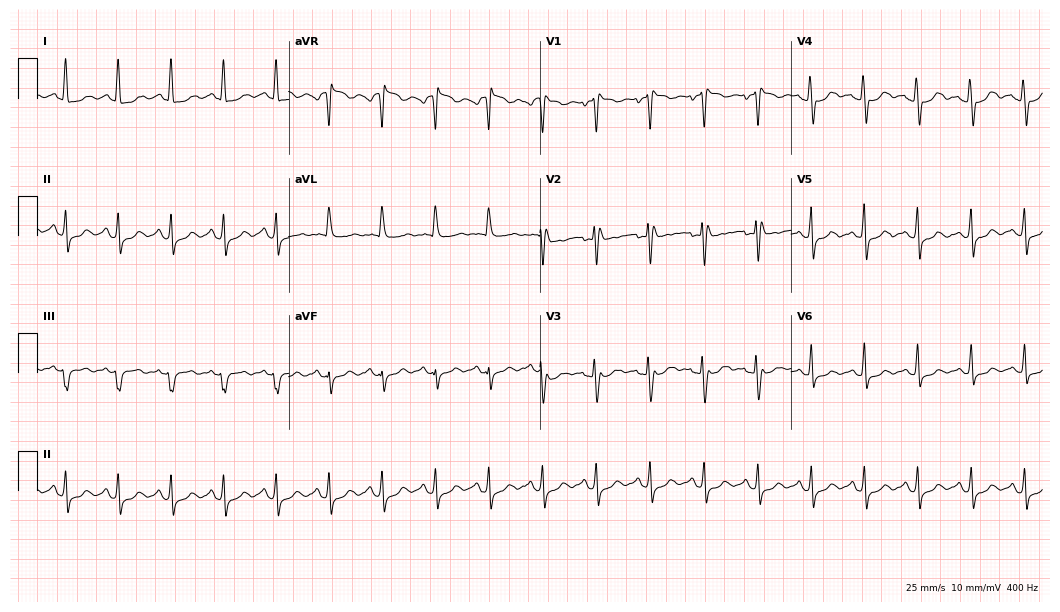
12-lead ECG from a female patient, 55 years old. Shows sinus tachycardia (a sinus rate of 100 beats per minute or more).